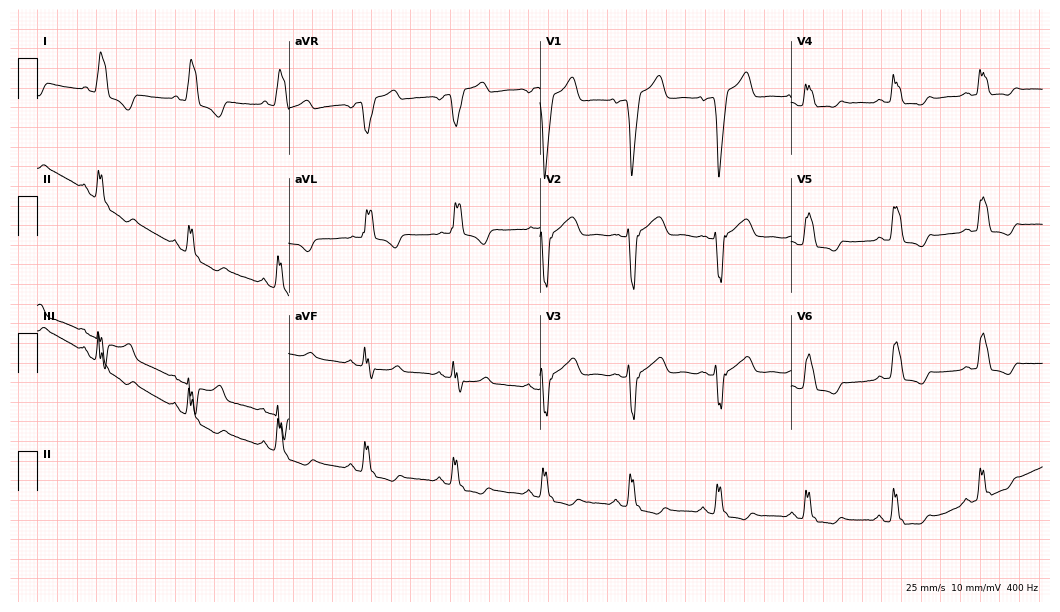
12-lead ECG from a female, 69 years old. Findings include left bundle branch block.